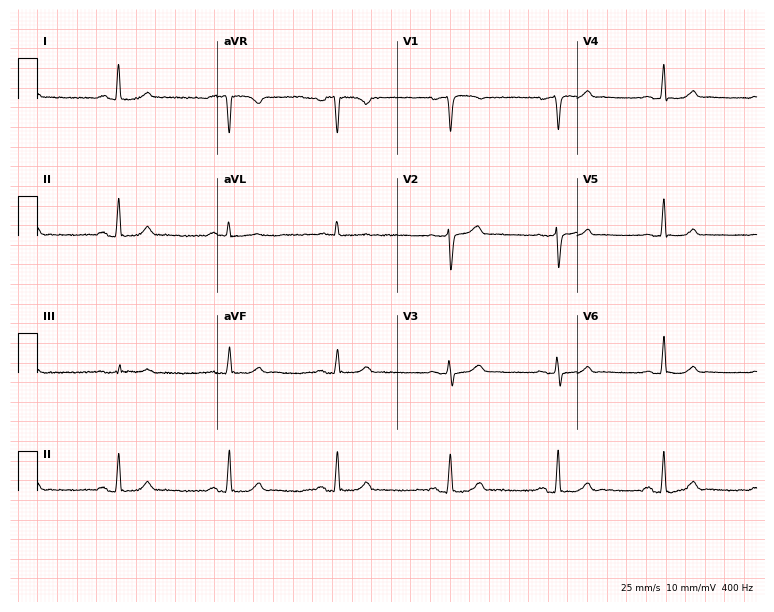
Resting 12-lead electrocardiogram (7.3-second recording at 400 Hz). Patient: a female, 49 years old. None of these six findings is recorded: first-degree AV block, right bundle branch block, left bundle branch block, sinus bradycardia, atrial fibrillation, sinus tachycardia. Findings outside these six are not listed.